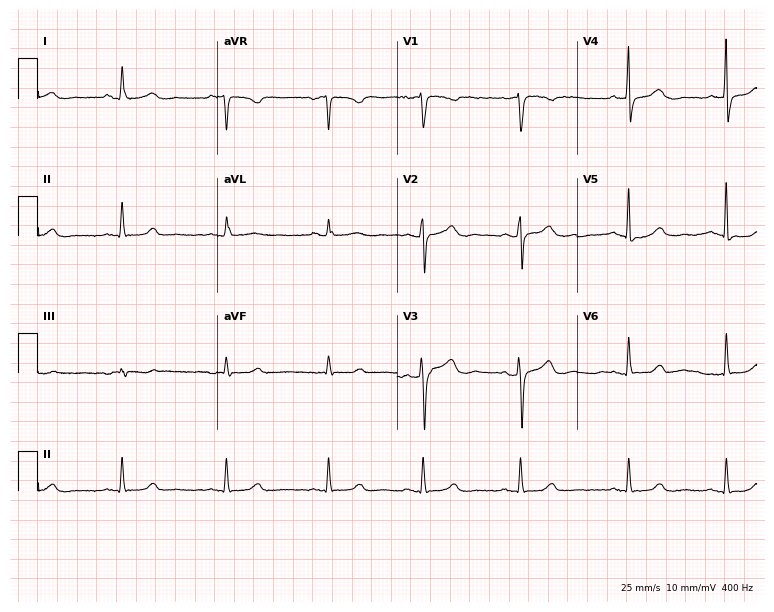
Electrocardiogram (7.3-second recording at 400 Hz), a male, 44 years old. Of the six screened findings (first-degree AV block, right bundle branch block, left bundle branch block, sinus bradycardia, atrial fibrillation, sinus tachycardia), none is recorded. Other findings, if any, are not listed.